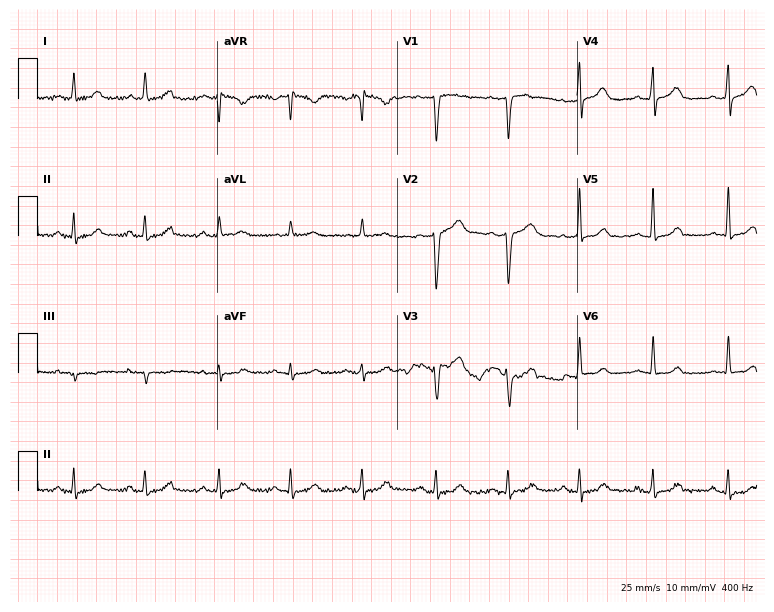
12-lead ECG from a 34-year-old female patient (7.3-second recording at 400 Hz). Recorded interpretation: within normal limits.